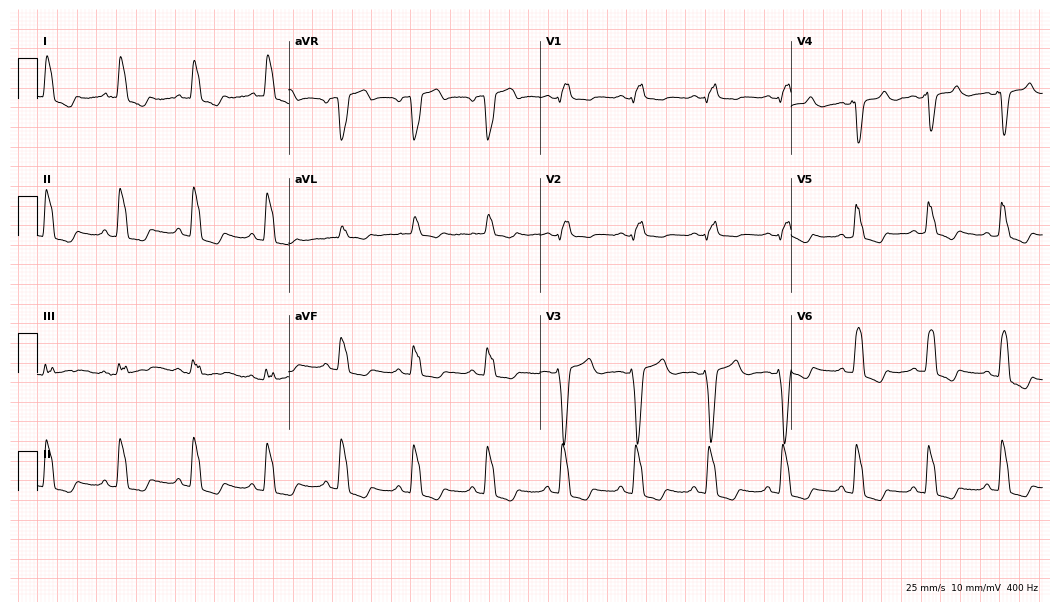
ECG (10.2-second recording at 400 Hz) — a 70-year-old female patient. Screened for six findings — first-degree AV block, right bundle branch block, left bundle branch block, sinus bradycardia, atrial fibrillation, sinus tachycardia — none is recorded.